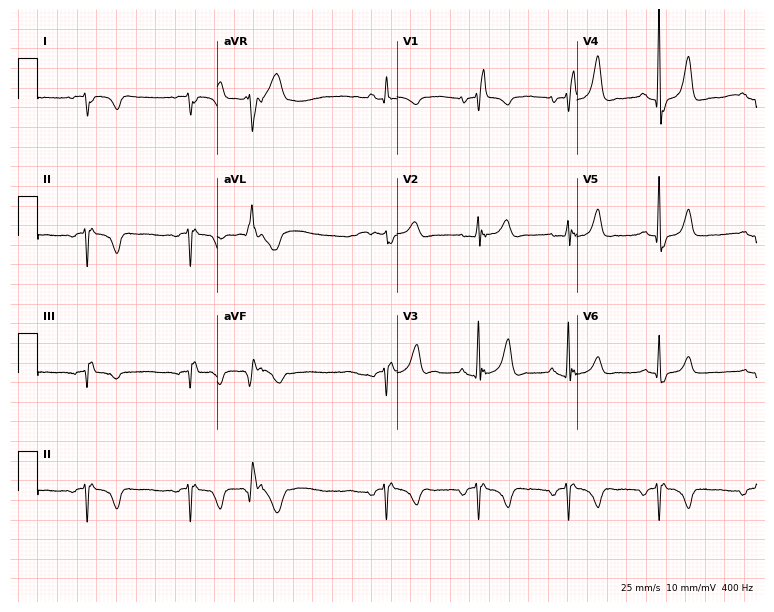
12-lead ECG from a man, 82 years old. No first-degree AV block, right bundle branch block, left bundle branch block, sinus bradycardia, atrial fibrillation or sinus tachycardia recorded for this tracing.